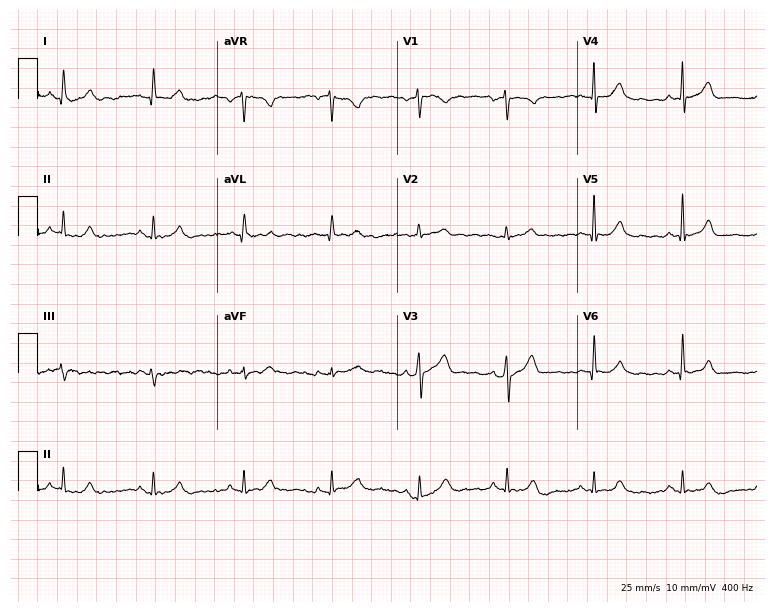
12-lead ECG (7.3-second recording at 400 Hz) from a 66-year-old male patient. Labelled as a normal ECG.